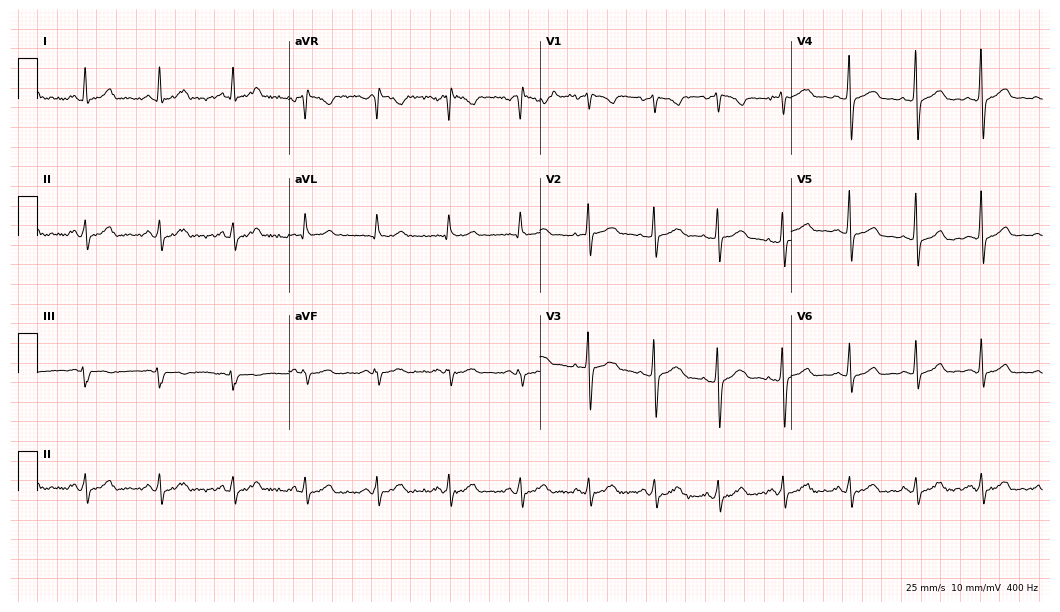
Standard 12-lead ECG recorded from a 24-year-old female. Read as a normal ECG.